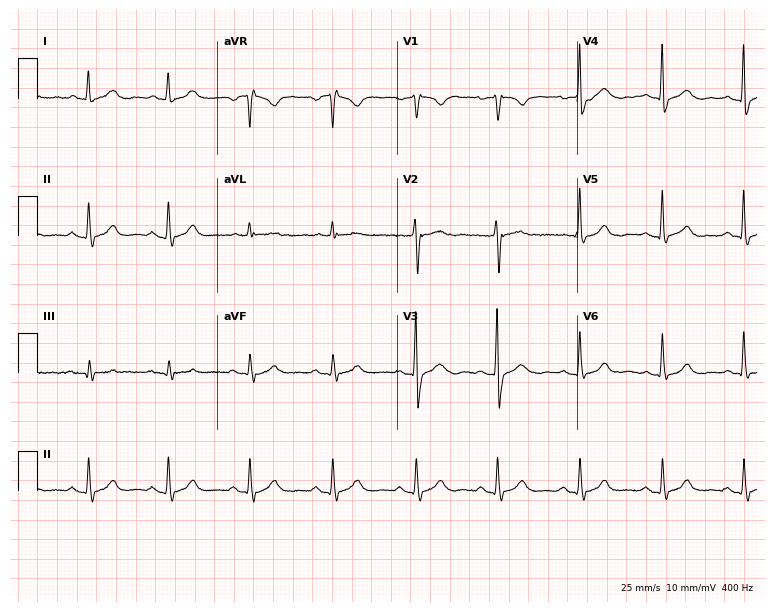
12-lead ECG from a 49-year-old woman (7.3-second recording at 400 Hz). Recorded interpretation: within normal limits.